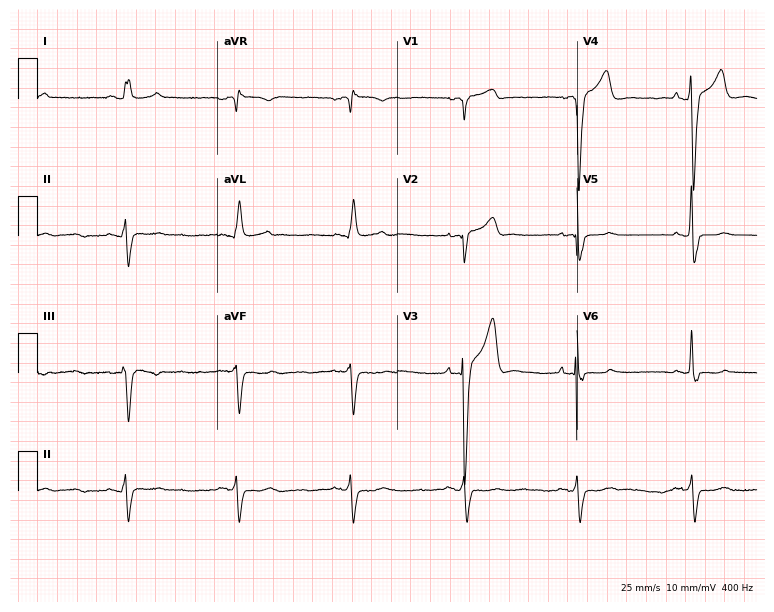
12-lead ECG (7.3-second recording at 400 Hz) from a 58-year-old man. Screened for six findings — first-degree AV block, right bundle branch block (RBBB), left bundle branch block (LBBB), sinus bradycardia, atrial fibrillation (AF), sinus tachycardia — none is recorded.